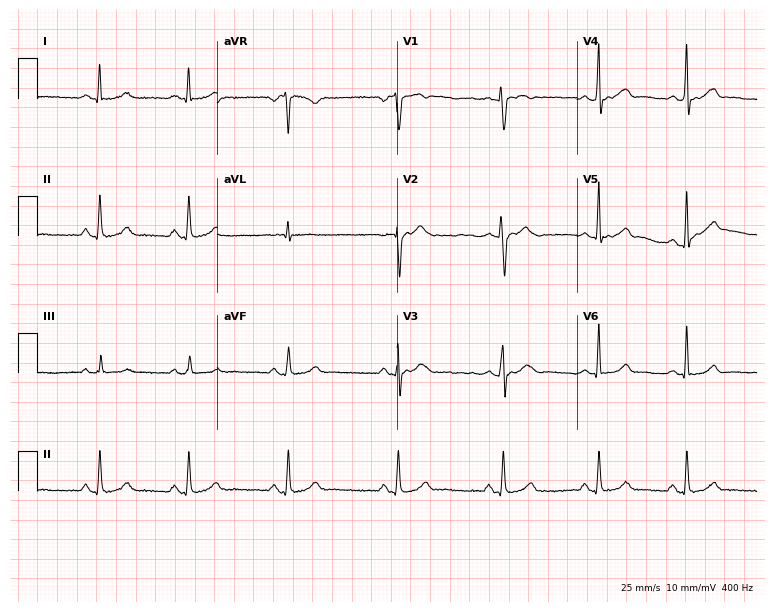
Resting 12-lead electrocardiogram (7.3-second recording at 400 Hz). Patient: a female, 23 years old. None of these six findings is recorded: first-degree AV block, right bundle branch block, left bundle branch block, sinus bradycardia, atrial fibrillation, sinus tachycardia. Only these six findings were labelled.